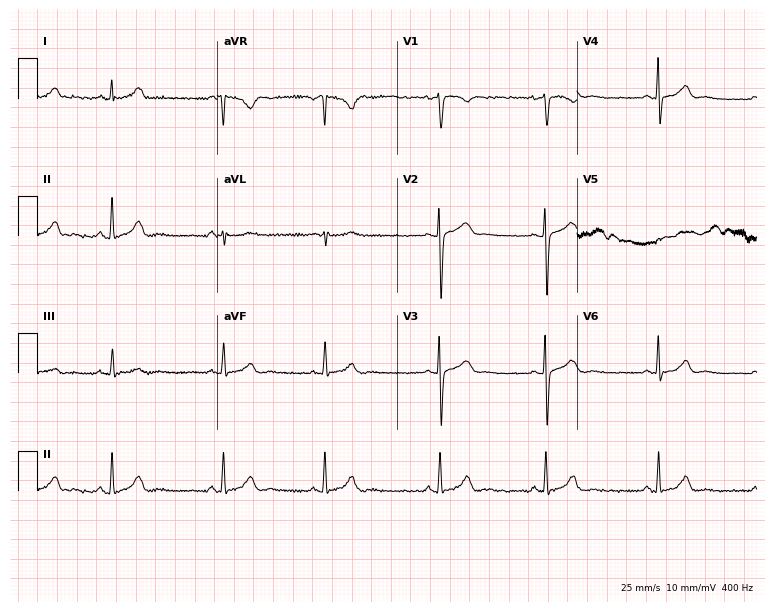
12-lead ECG from a female, 24 years old. No first-degree AV block, right bundle branch block, left bundle branch block, sinus bradycardia, atrial fibrillation or sinus tachycardia recorded for this tracing. Other findings, if any, are not listed.